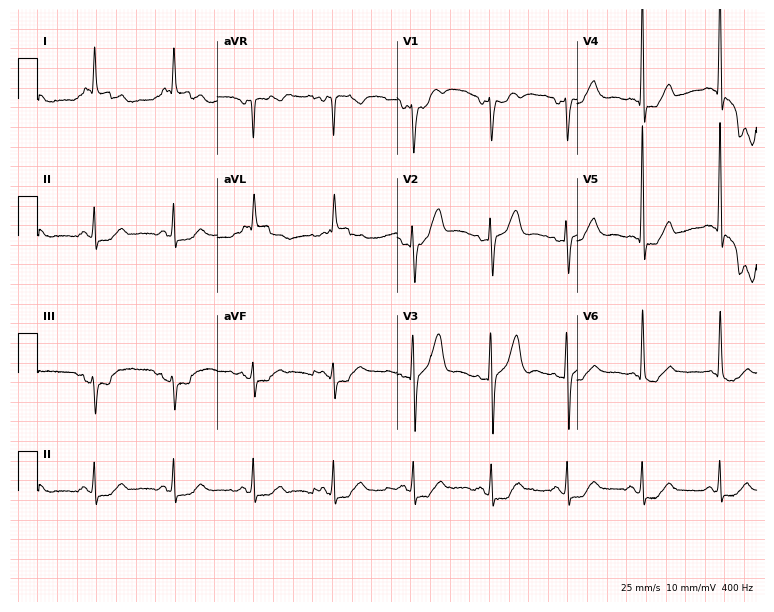
Electrocardiogram (7.3-second recording at 400 Hz), a man, 71 years old. Of the six screened findings (first-degree AV block, right bundle branch block, left bundle branch block, sinus bradycardia, atrial fibrillation, sinus tachycardia), none is recorded. Only these six findings were labelled.